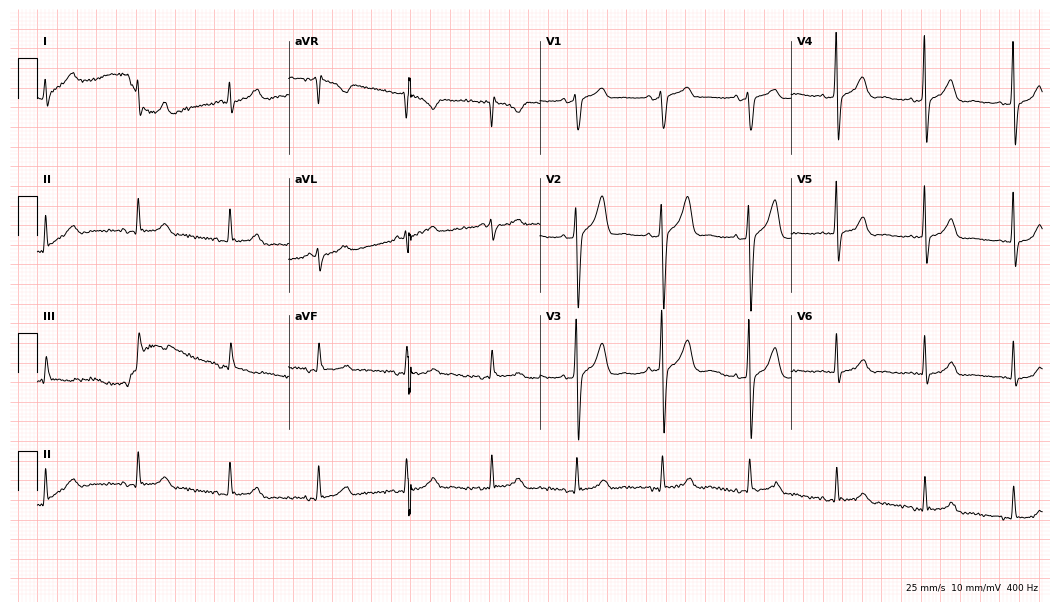
ECG — a male patient, 55 years old. Labelled as a normal ECG.